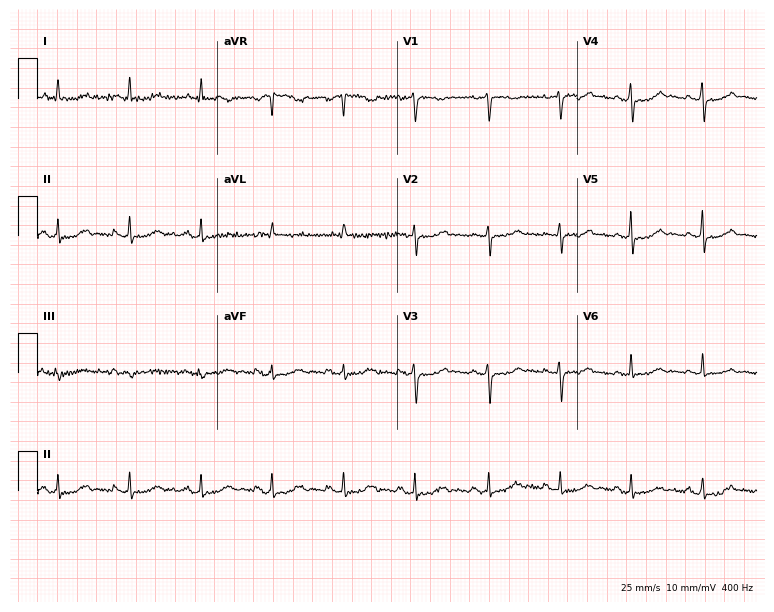
12-lead ECG from a 59-year-old female patient (7.3-second recording at 400 Hz). No first-degree AV block, right bundle branch block, left bundle branch block, sinus bradycardia, atrial fibrillation or sinus tachycardia recorded for this tracing. Other findings, if any, are not listed.